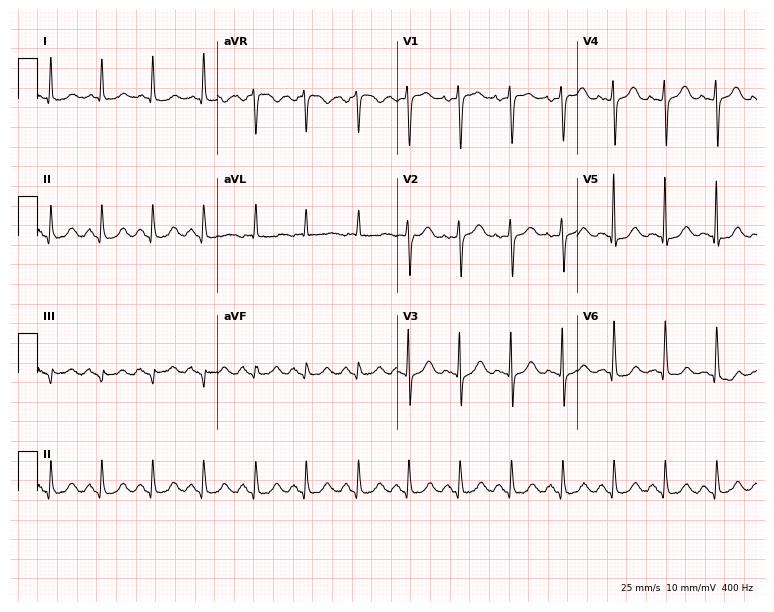
12-lead ECG from a 66-year-old woman. Shows sinus tachycardia (a sinus rate of 100 beats per minute or more).